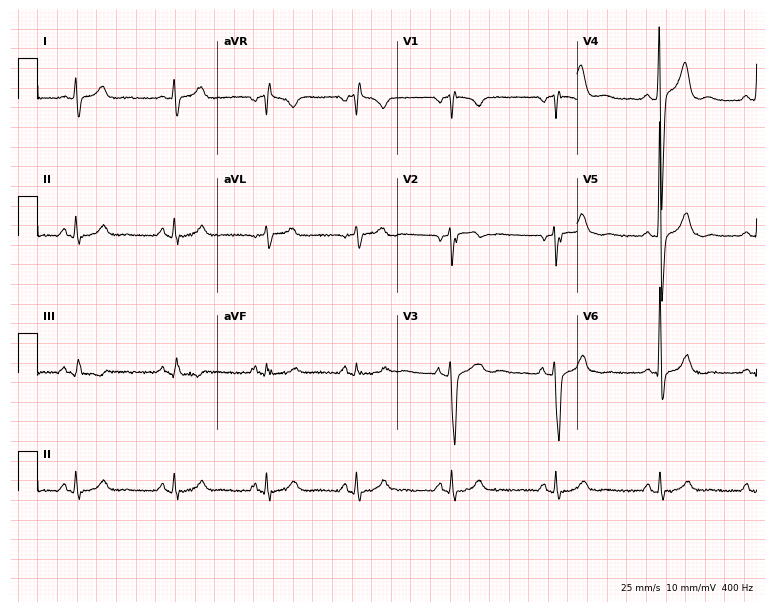
Standard 12-lead ECG recorded from a man, 34 years old (7.3-second recording at 400 Hz). None of these six findings is recorded: first-degree AV block, right bundle branch block (RBBB), left bundle branch block (LBBB), sinus bradycardia, atrial fibrillation (AF), sinus tachycardia. Other findings, if any, are not listed.